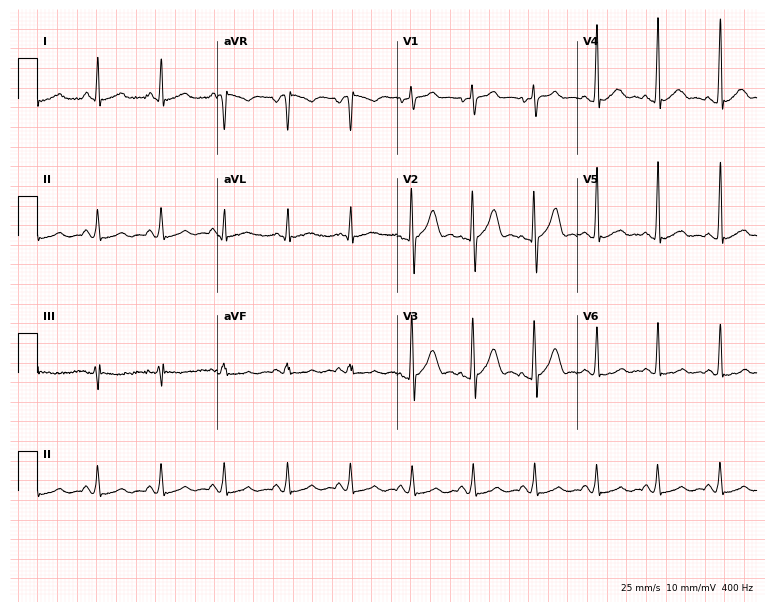
Resting 12-lead electrocardiogram. Patient: a 41-year-old male. Read as a normal ECG.